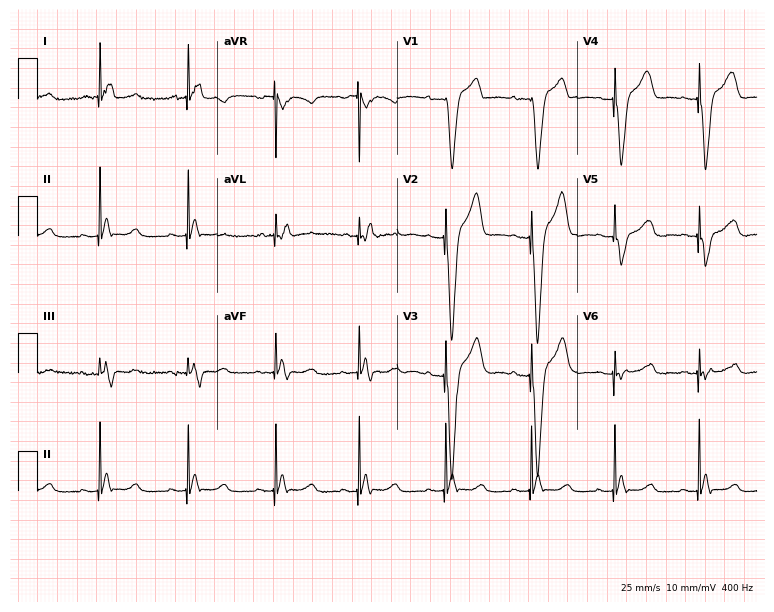
Resting 12-lead electrocardiogram (7.3-second recording at 400 Hz). Patient: a female, 46 years old. None of these six findings is recorded: first-degree AV block, right bundle branch block, left bundle branch block, sinus bradycardia, atrial fibrillation, sinus tachycardia. Findings outside these six are not listed.